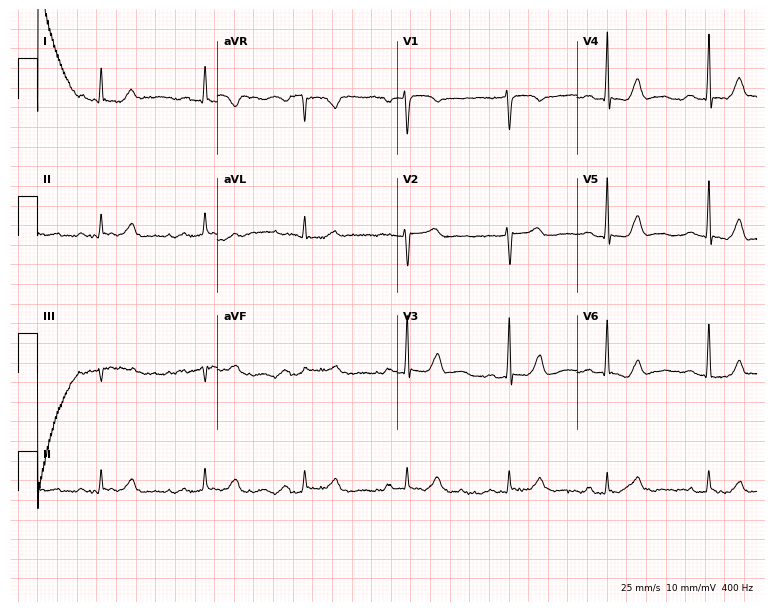
12-lead ECG (7.3-second recording at 400 Hz) from a 79-year-old woman. Screened for six findings — first-degree AV block, right bundle branch block, left bundle branch block, sinus bradycardia, atrial fibrillation, sinus tachycardia — none is recorded. Only these six findings were labelled.